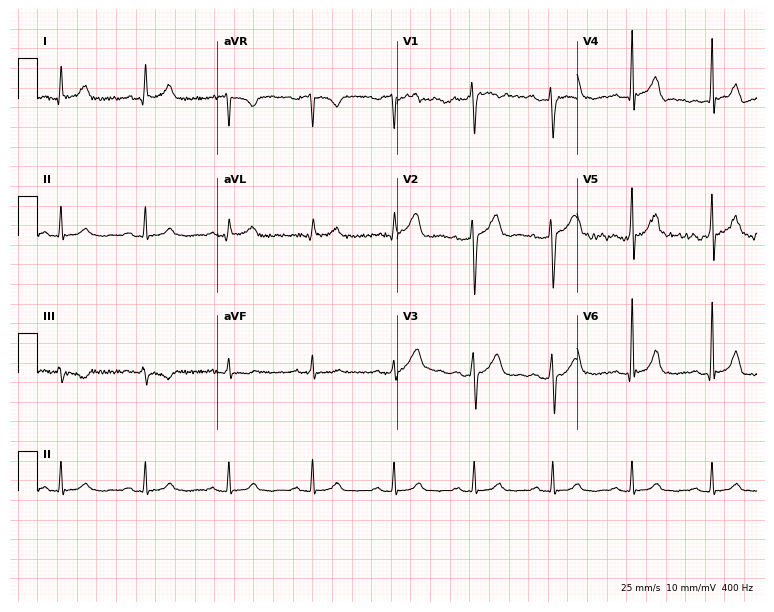
Resting 12-lead electrocardiogram. Patient: a 52-year-old man. None of these six findings is recorded: first-degree AV block, right bundle branch block, left bundle branch block, sinus bradycardia, atrial fibrillation, sinus tachycardia. Findings outside these six are not listed.